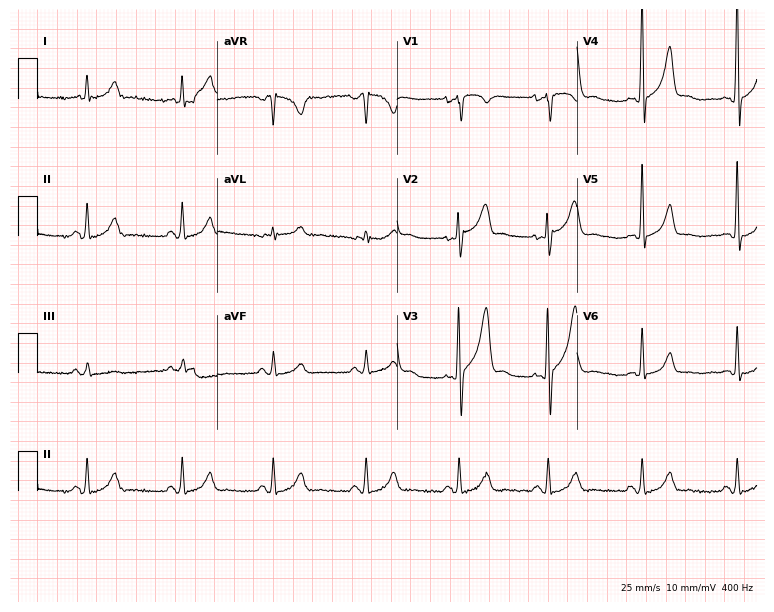
Resting 12-lead electrocardiogram. Patient: a man, 30 years old. None of these six findings is recorded: first-degree AV block, right bundle branch block, left bundle branch block, sinus bradycardia, atrial fibrillation, sinus tachycardia.